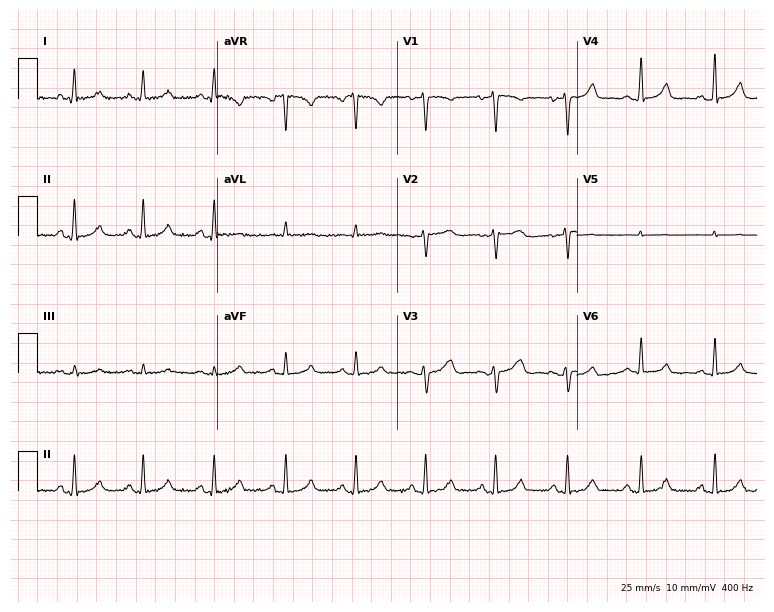
12-lead ECG from a woman, 36 years old (7.3-second recording at 400 Hz). Recorded interpretation: within normal limits.